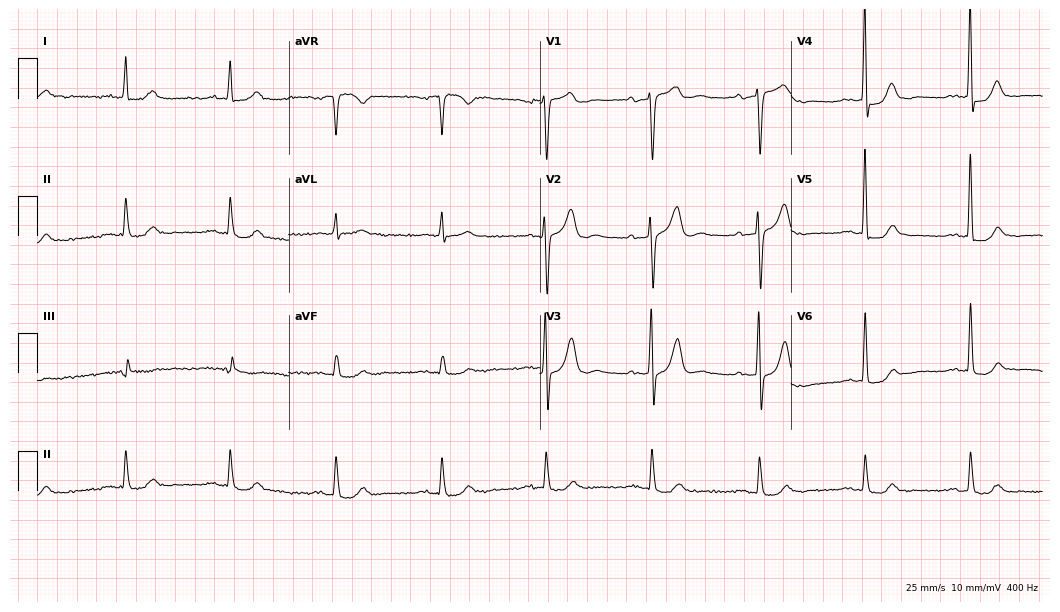
Electrocardiogram, an 83-year-old male patient. Of the six screened findings (first-degree AV block, right bundle branch block (RBBB), left bundle branch block (LBBB), sinus bradycardia, atrial fibrillation (AF), sinus tachycardia), none is recorded.